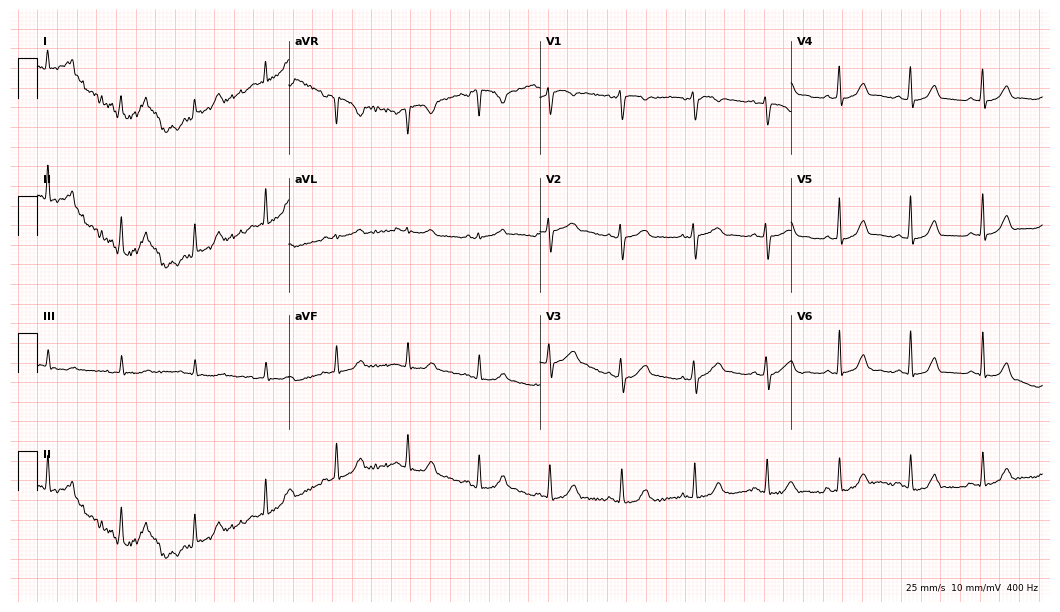
12-lead ECG (10.2-second recording at 400 Hz) from a 34-year-old female patient. Labelled as a normal ECG.